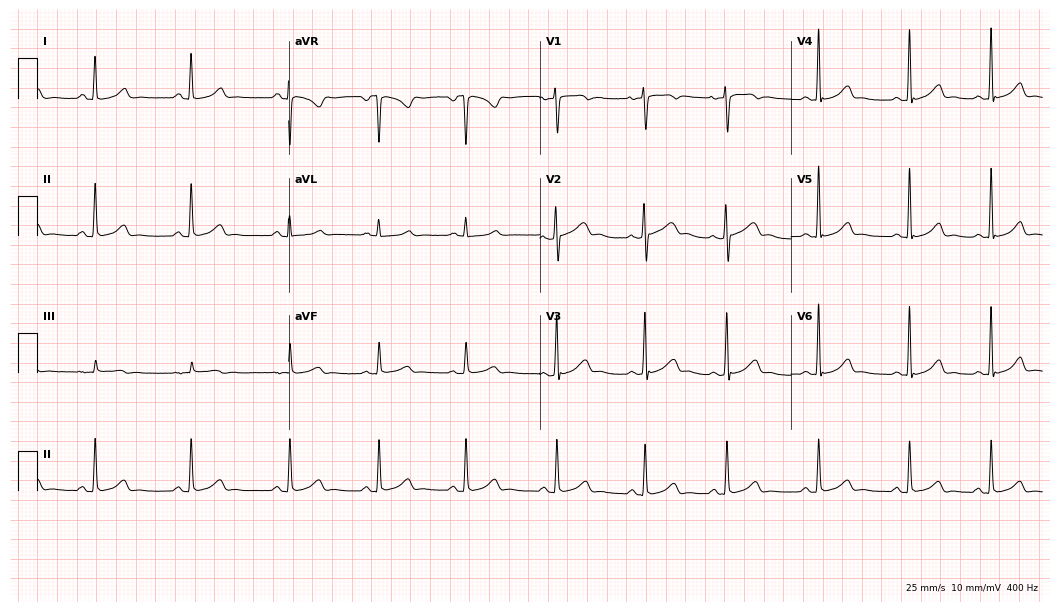
12-lead ECG from a woman, 17 years old. Recorded interpretation: within normal limits.